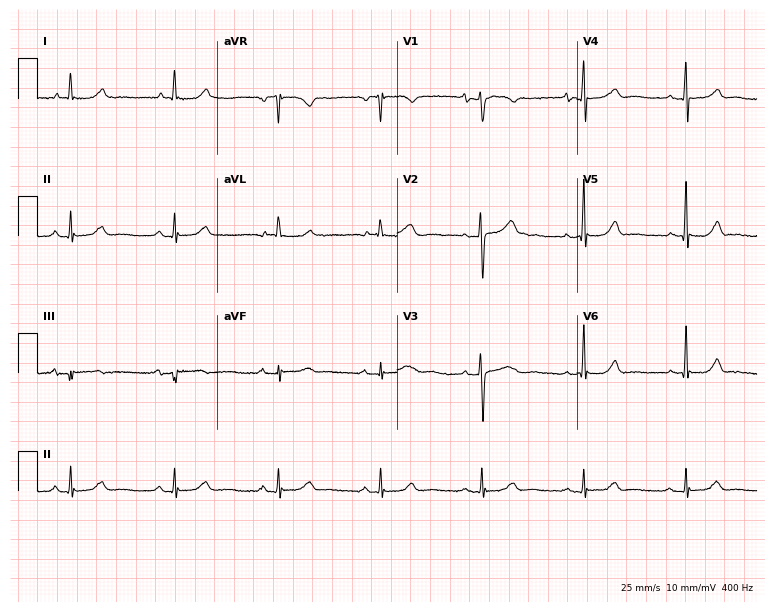
Electrocardiogram, a 66-year-old female. Of the six screened findings (first-degree AV block, right bundle branch block, left bundle branch block, sinus bradycardia, atrial fibrillation, sinus tachycardia), none is recorded.